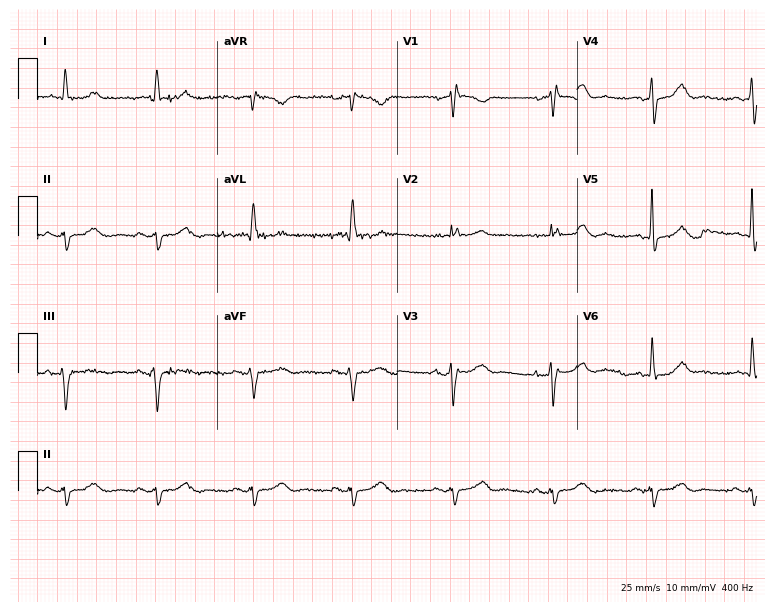
Electrocardiogram (7.3-second recording at 400 Hz), a 75-year-old man. Interpretation includes right bundle branch block.